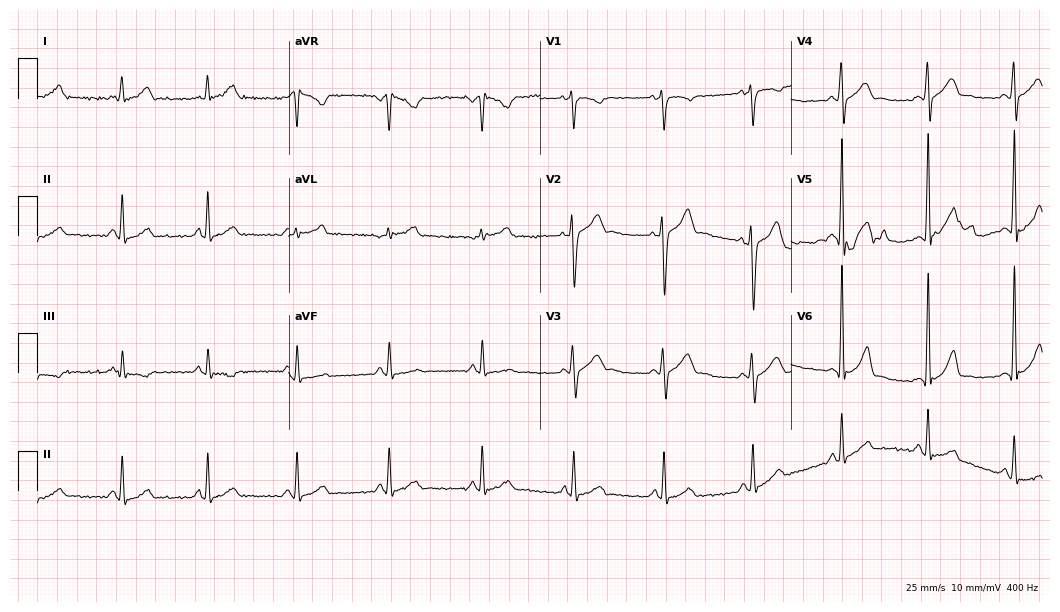
Standard 12-lead ECG recorded from a male, 22 years old (10.2-second recording at 400 Hz). Read as a normal ECG.